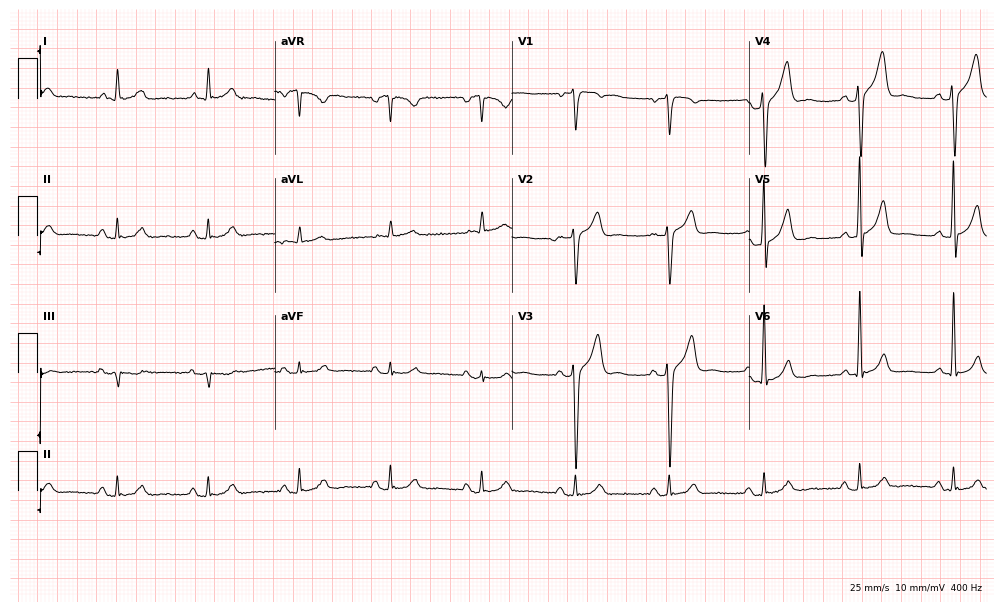
12-lead ECG from a male, 60 years old. Labelled as a normal ECG.